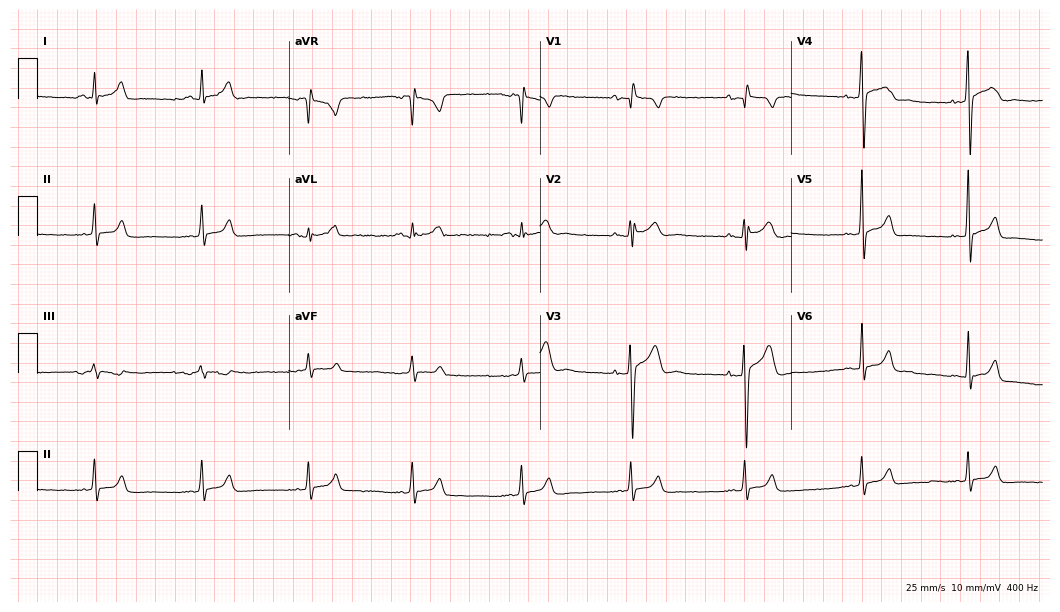
Resting 12-lead electrocardiogram. Patient: a 22-year-old male. None of these six findings is recorded: first-degree AV block, right bundle branch block (RBBB), left bundle branch block (LBBB), sinus bradycardia, atrial fibrillation (AF), sinus tachycardia. Findings outside these six are not listed.